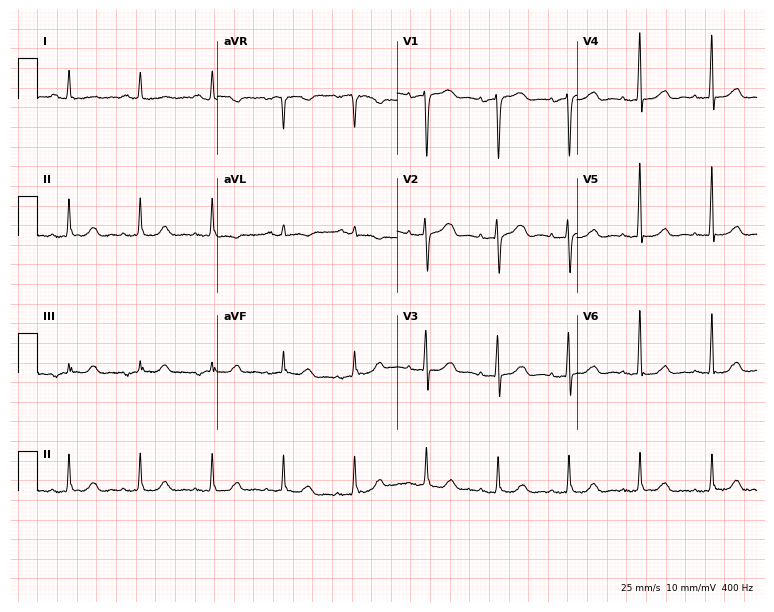
Electrocardiogram (7.3-second recording at 400 Hz), an 82-year-old woman. Of the six screened findings (first-degree AV block, right bundle branch block, left bundle branch block, sinus bradycardia, atrial fibrillation, sinus tachycardia), none is recorded. Only these six findings were labelled.